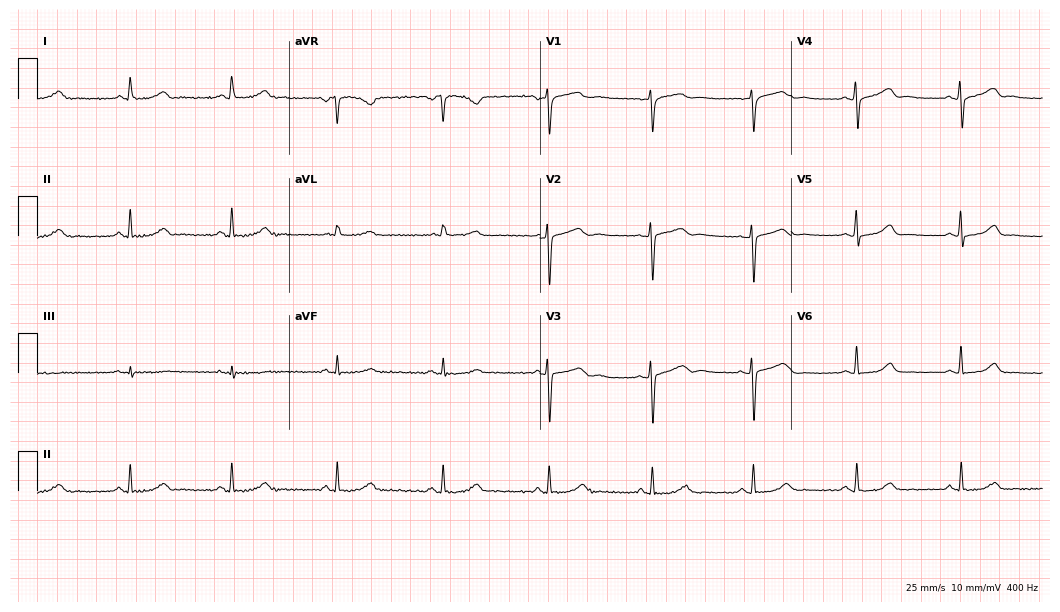
Resting 12-lead electrocardiogram. Patient: a 41-year-old female. Read as a normal ECG.